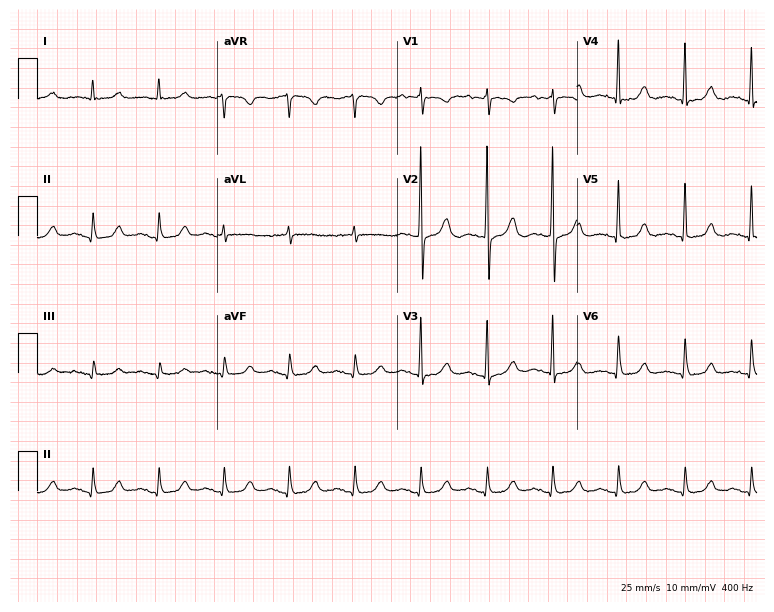
ECG — an 83-year-old woman. Labelled as a normal ECG.